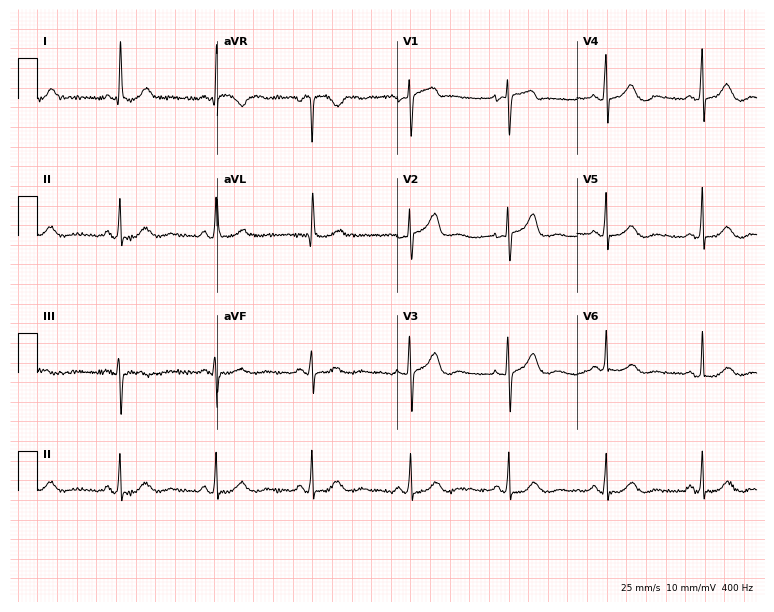
12-lead ECG from a woman, 71 years old (7.3-second recording at 400 Hz). Recorded interpretation: within normal limits.